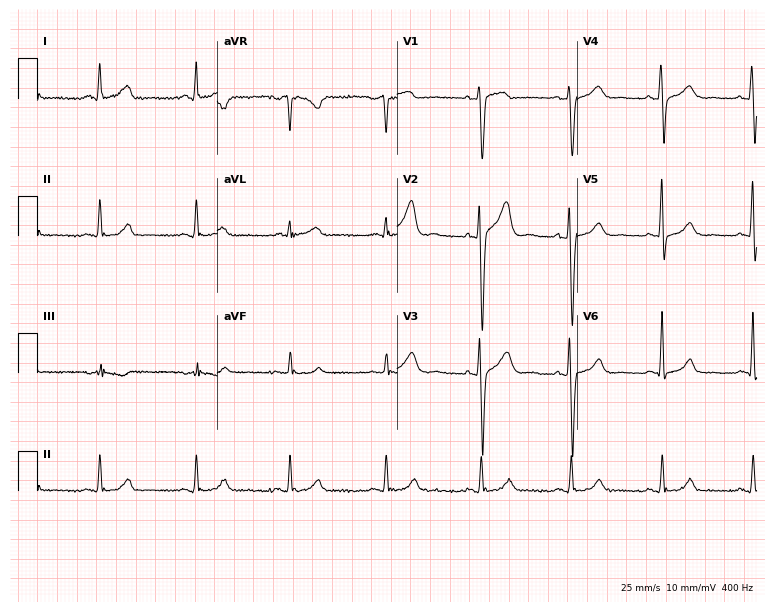
Resting 12-lead electrocardiogram (7.3-second recording at 400 Hz). Patient: a 39-year-old male. Read as a normal ECG.